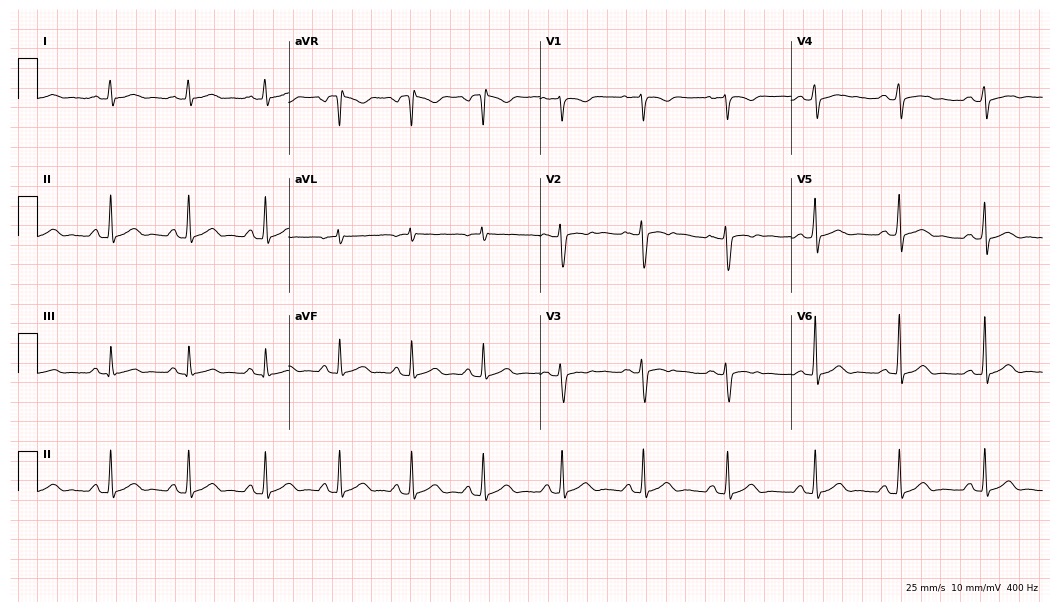
12-lead ECG from a woman, 27 years old (10.2-second recording at 400 Hz). Recorded interpretation: within normal limits.